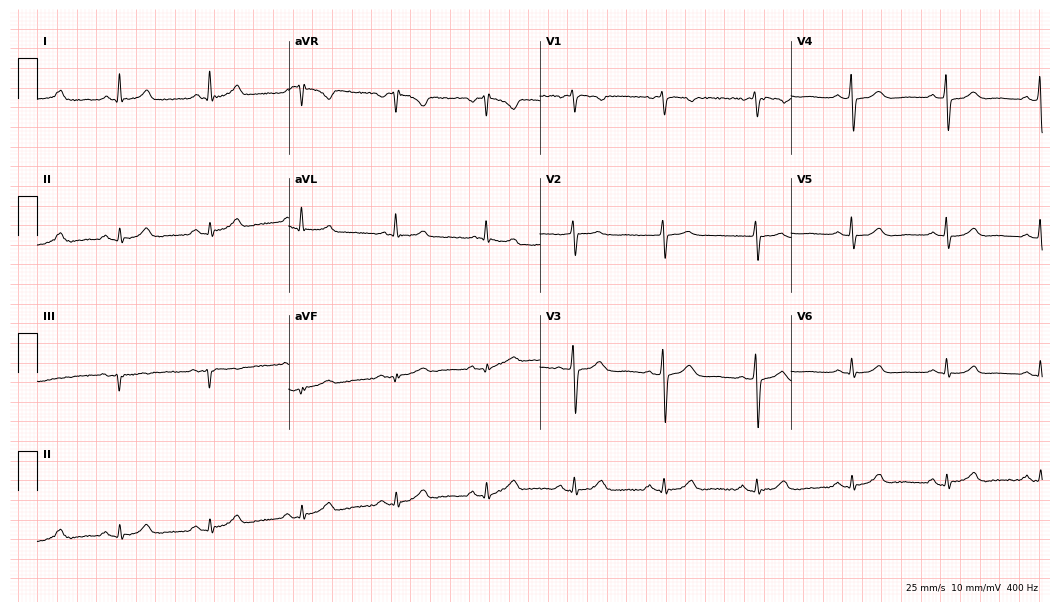
Standard 12-lead ECG recorded from a 68-year-old female patient. Read as a normal ECG.